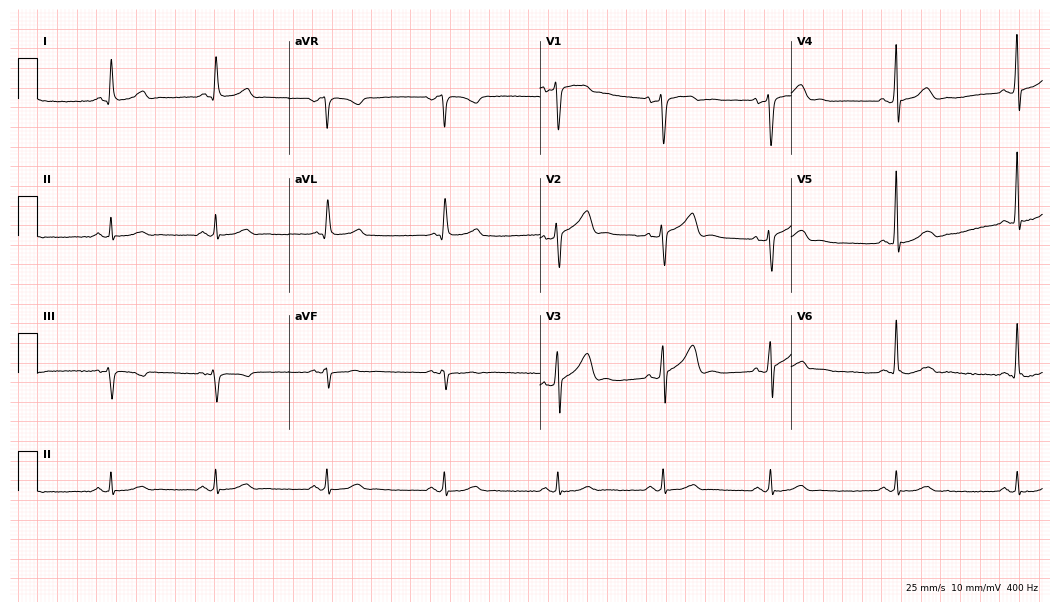
12-lead ECG from a male, 55 years old. Labelled as a normal ECG.